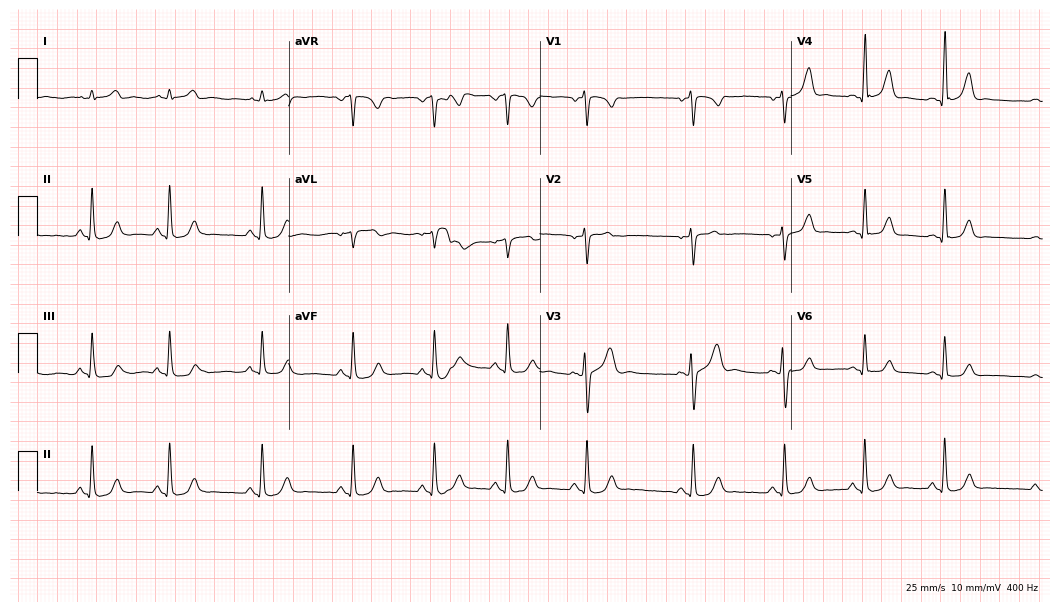
Standard 12-lead ECG recorded from a female patient, 20 years old. None of these six findings is recorded: first-degree AV block, right bundle branch block (RBBB), left bundle branch block (LBBB), sinus bradycardia, atrial fibrillation (AF), sinus tachycardia. Only these six findings were labelled.